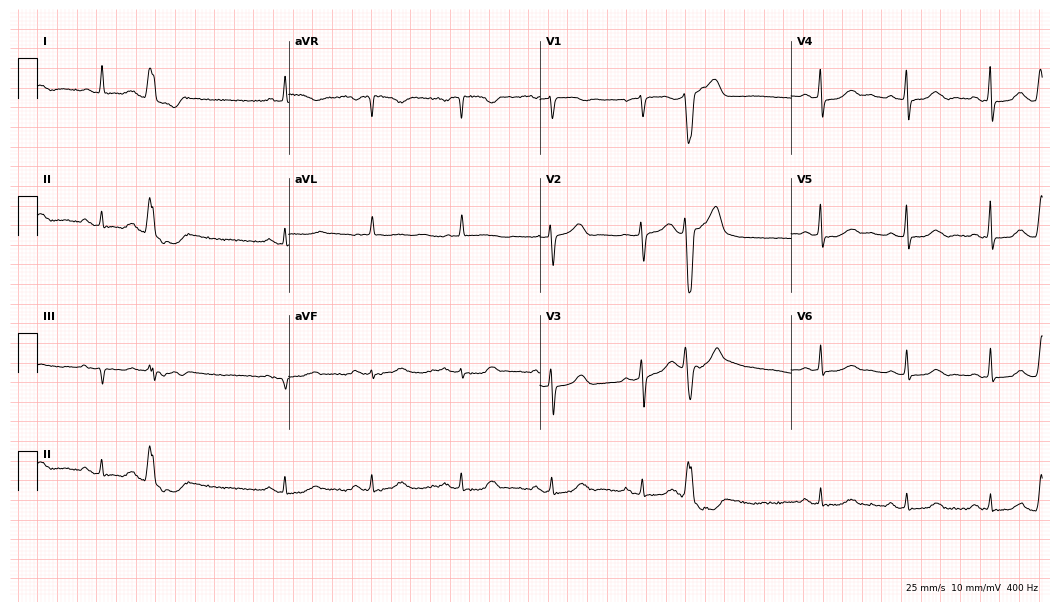
Standard 12-lead ECG recorded from a 76-year-old male (10.2-second recording at 400 Hz). None of these six findings is recorded: first-degree AV block, right bundle branch block, left bundle branch block, sinus bradycardia, atrial fibrillation, sinus tachycardia. Other findings, if any, are not listed.